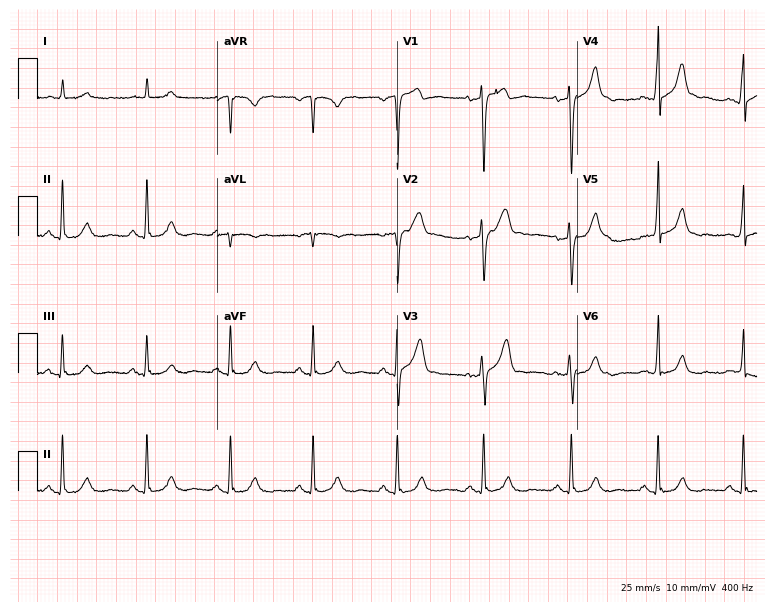
Resting 12-lead electrocardiogram (7.3-second recording at 400 Hz). Patient: a male, 64 years old. None of these six findings is recorded: first-degree AV block, right bundle branch block, left bundle branch block, sinus bradycardia, atrial fibrillation, sinus tachycardia. Other findings, if any, are not listed.